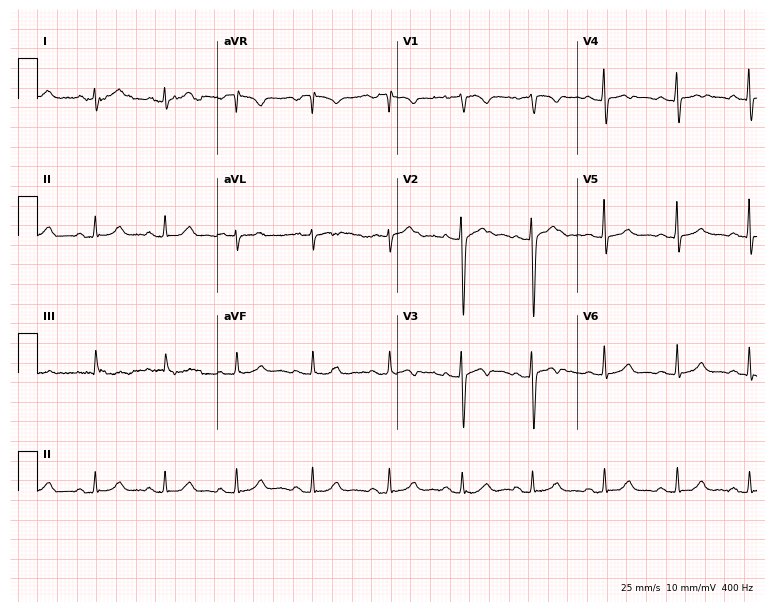
Electrocardiogram (7.3-second recording at 400 Hz), a 23-year-old woman. Of the six screened findings (first-degree AV block, right bundle branch block (RBBB), left bundle branch block (LBBB), sinus bradycardia, atrial fibrillation (AF), sinus tachycardia), none is recorded. Only these six findings were labelled.